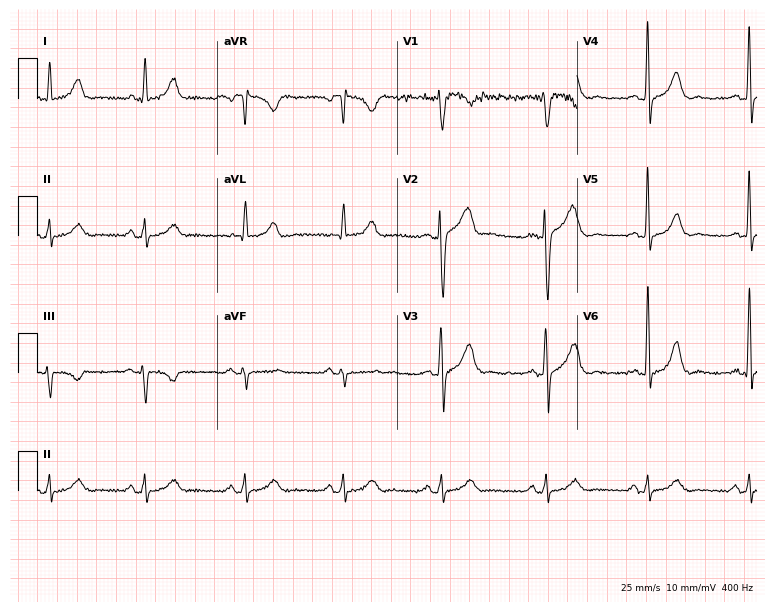
Resting 12-lead electrocardiogram (7.3-second recording at 400 Hz). Patient: a male, 49 years old. None of these six findings is recorded: first-degree AV block, right bundle branch block, left bundle branch block, sinus bradycardia, atrial fibrillation, sinus tachycardia.